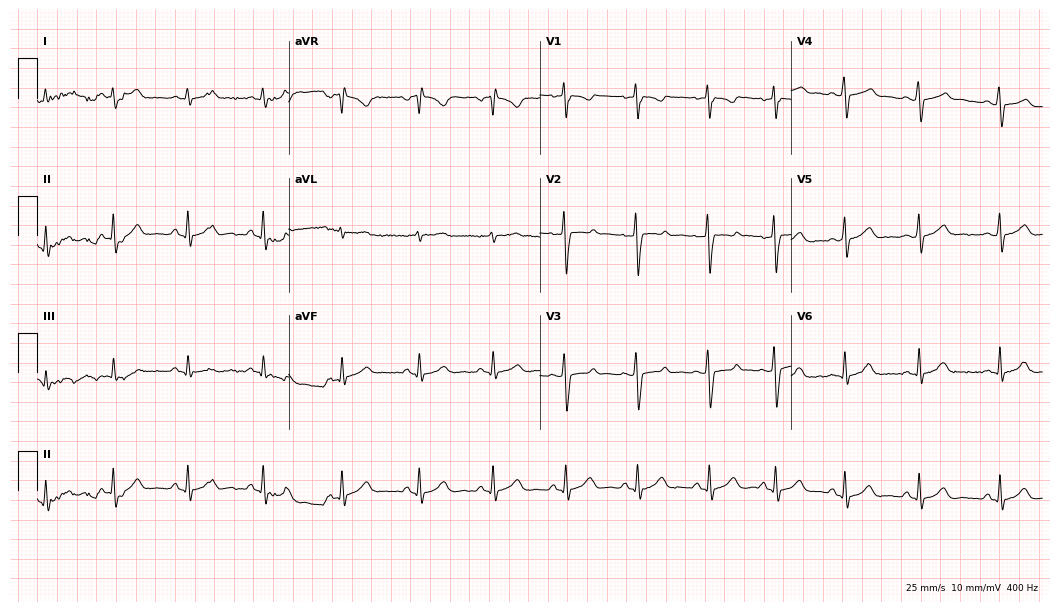
12-lead ECG (10.2-second recording at 400 Hz) from a female, 20 years old. Screened for six findings — first-degree AV block, right bundle branch block, left bundle branch block, sinus bradycardia, atrial fibrillation, sinus tachycardia — none is recorded. Other findings, if any, are not listed.